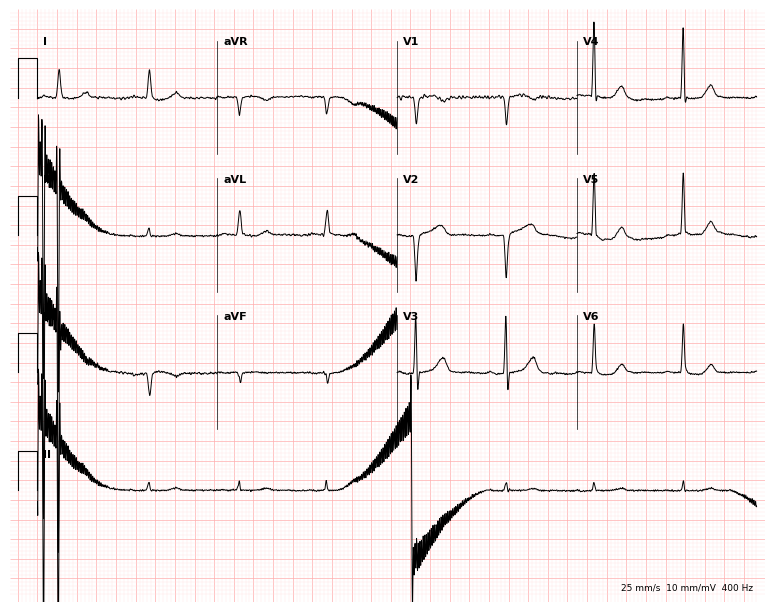
Resting 12-lead electrocardiogram. Patient: a 78-year-old female. None of these six findings is recorded: first-degree AV block, right bundle branch block, left bundle branch block, sinus bradycardia, atrial fibrillation, sinus tachycardia. Only these six findings were labelled.